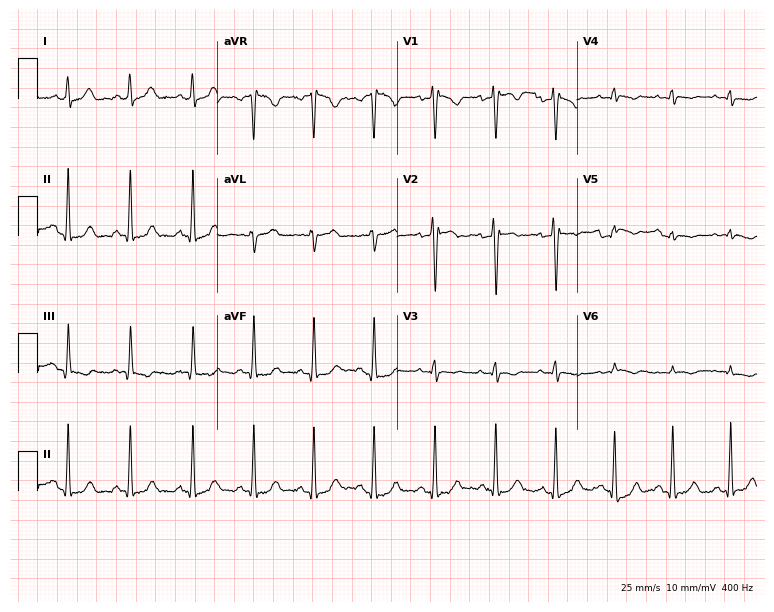
12-lead ECG from a woman, 20 years old. Screened for six findings — first-degree AV block, right bundle branch block, left bundle branch block, sinus bradycardia, atrial fibrillation, sinus tachycardia — none is recorded.